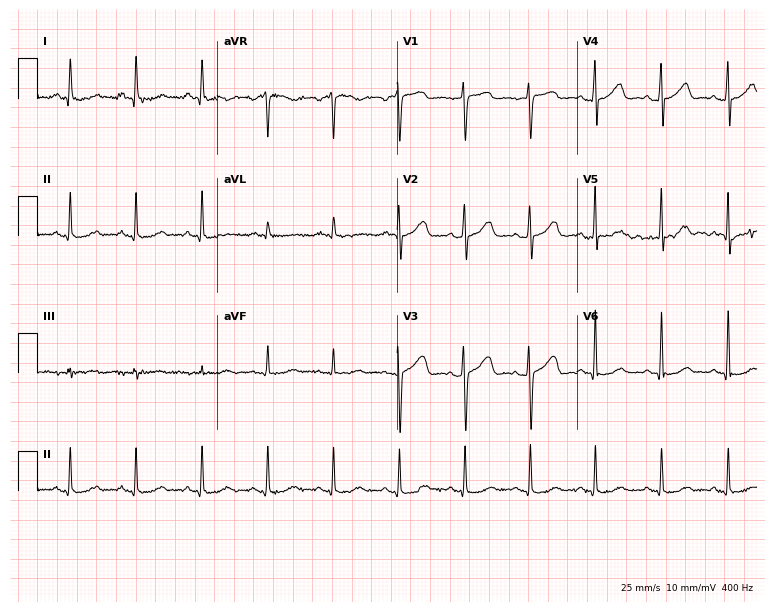
12-lead ECG from a 52-year-old female. No first-degree AV block, right bundle branch block, left bundle branch block, sinus bradycardia, atrial fibrillation or sinus tachycardia recorded for this tracing.